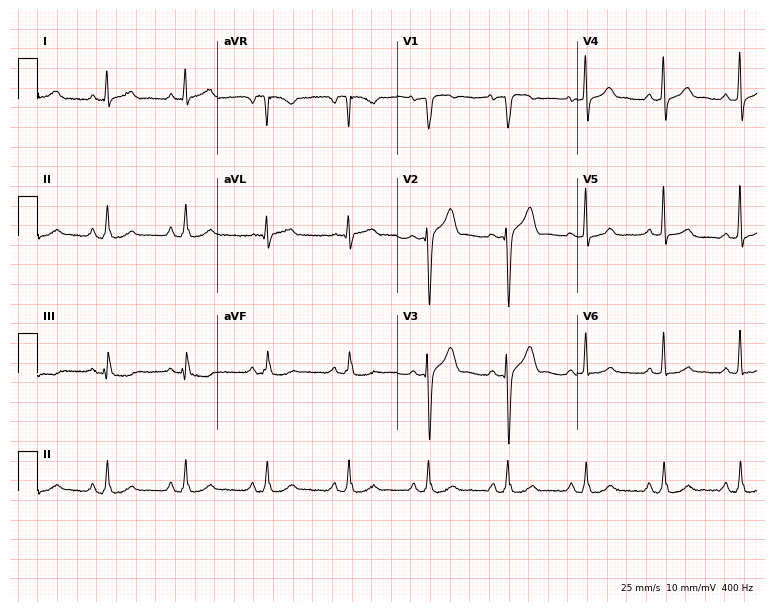
Electrocardiogram, a 50-year-old man. Overall reading on record: normal ECG.